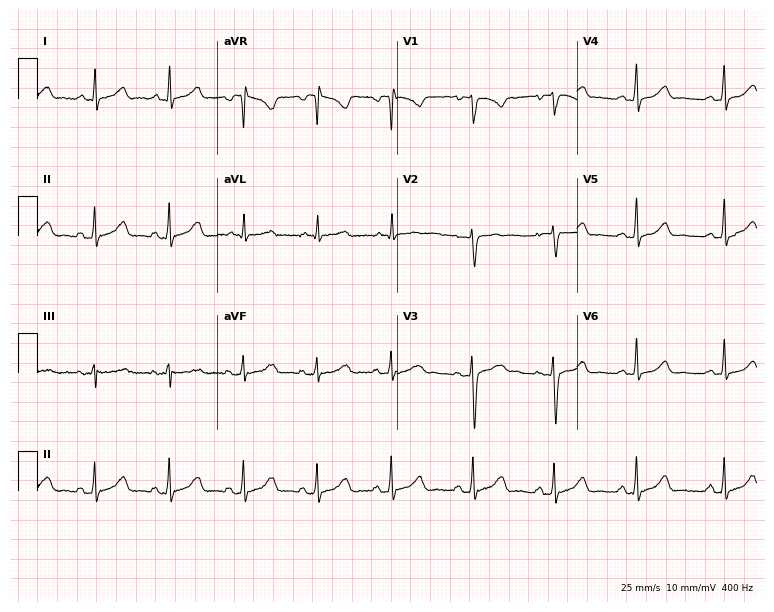
ECG — a female patient, 27 years old. Labelled as a normal ECG.